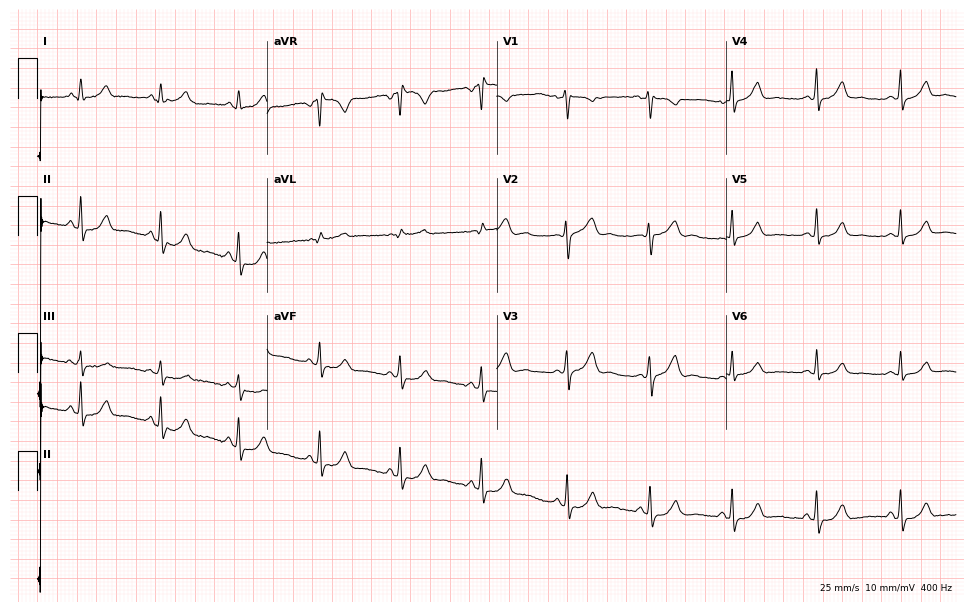
Resting 12-lead electrocardiogram. Patient: a female, 26 years old. Read as a normal ECG.